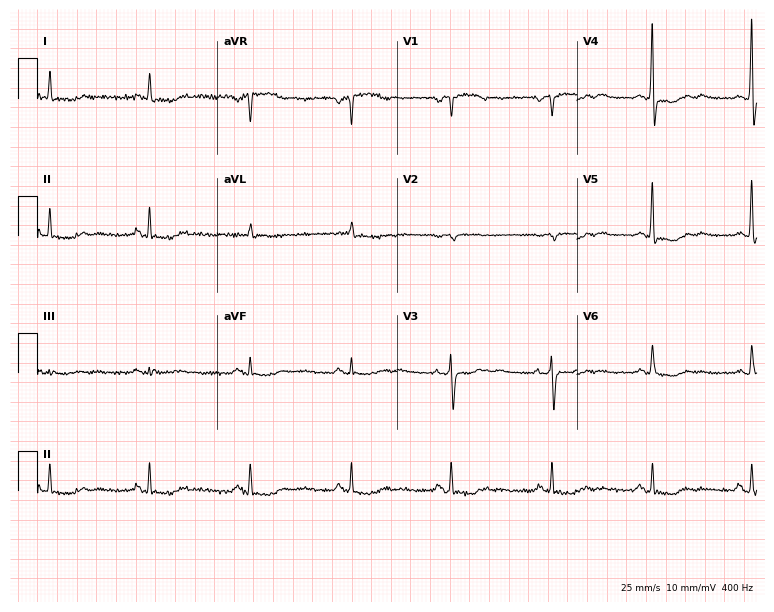
ECG (7.3-second recording at 400 Hz) — a female, 82 years old. Screened for six findings — first-degree AV block, right bundle branch block (RBBB), left bundle branch block (LBBB), sinus bradycardia, atrial fibrillation (AF), sinus tachycardia — none is recorded.